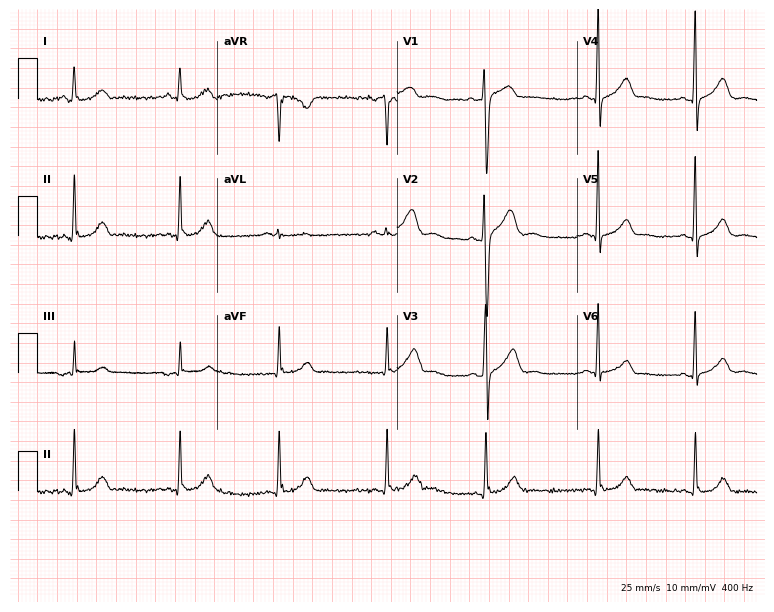
Standard 12-lead ECG recorded from a female patient, 28 years old (7.3-second recording at 400 Hz). Read as a normal ECG.